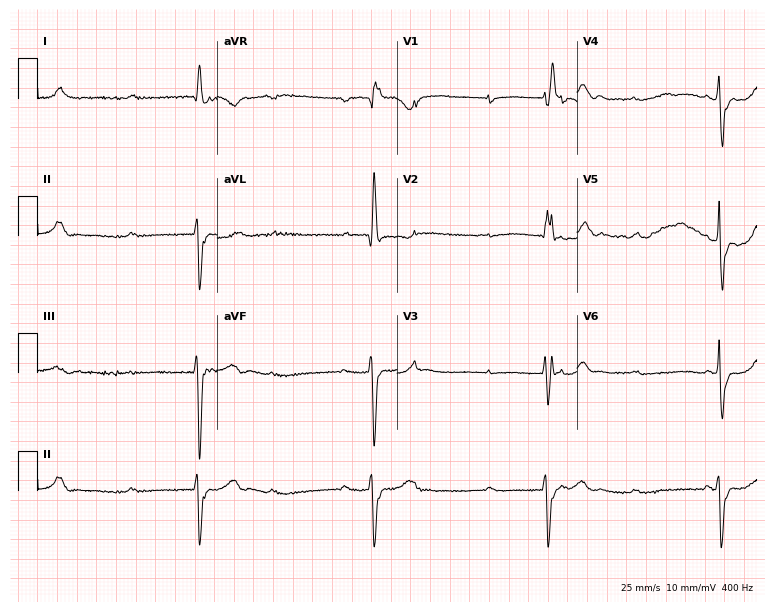
12-lead ECG from an 83-year-old woman. Shows first-degree AV block.